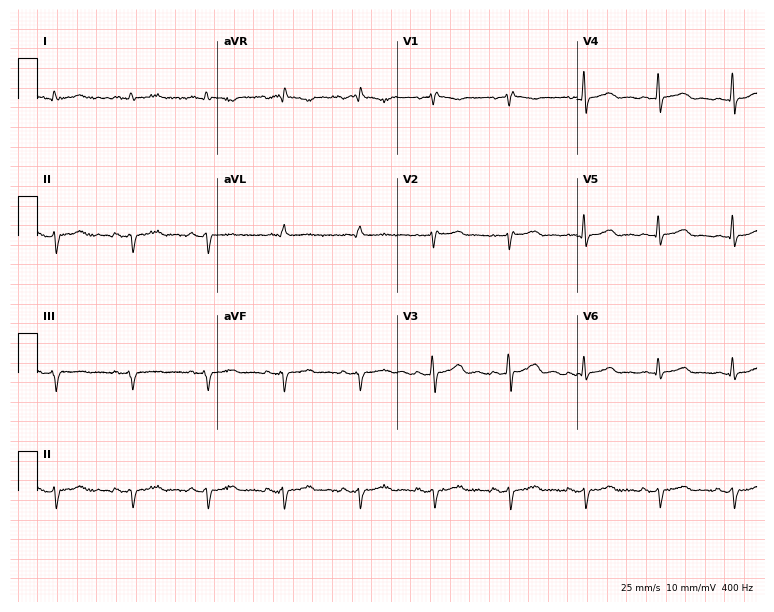
Standard 12-lead ECG recorded from a woman, 53 years old (7.3-second recording at 400 Hz). None of these six findings is recorded: first-degree AV block, right bundle branch block (RBBB), left bundle branch block (LBBB), sinus bradycardia, atrial fibrillation (AF), sinus tachycardia. Findings outside these six are not listed.